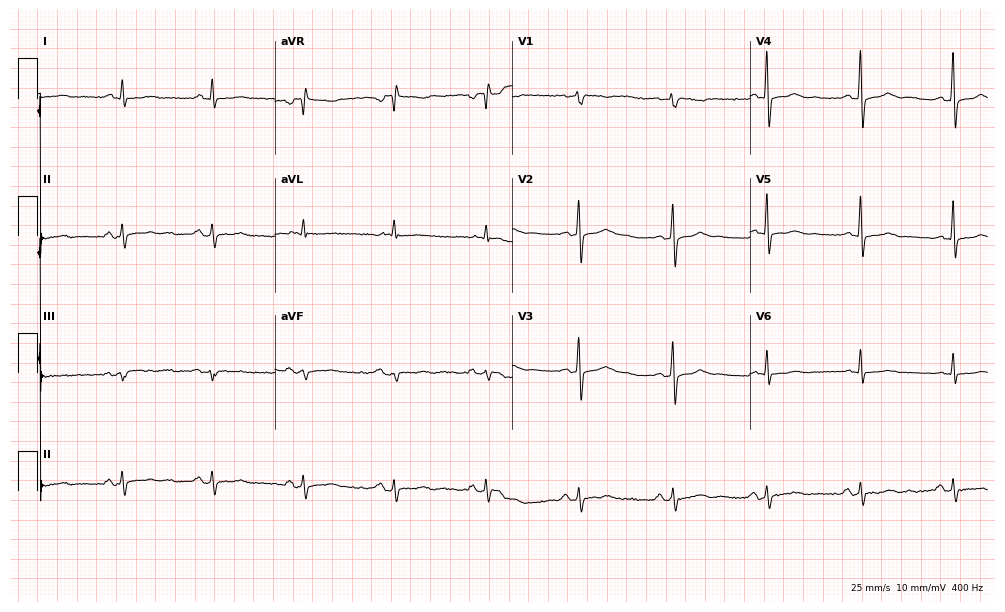
Electrocardiogram (9.7-second recording at 400 Hz), a 62-year-old female. Of the six screened findings (first-degree AV block, right bundle branch block, left bundle branch block, sinus bradycardia, atrial fibrillation, sinus tachycardia), none is recorded.